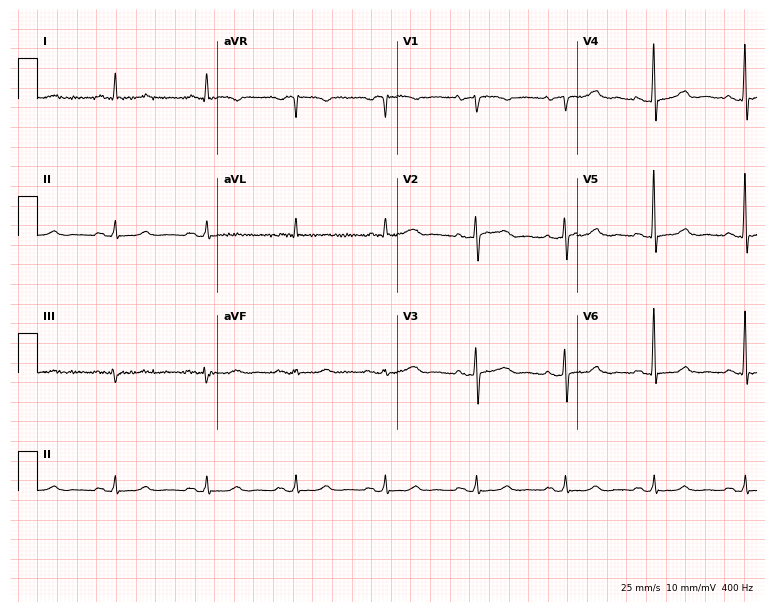
ECG (7.3-second recording at 400 Hz) — a 64-year-old woman. Screened for six findings — first-degree AV block, right bundle branch block (RBBB), left bundle branch block (LBBB), sinus bradycardia, atrial fibrillation (AF), sinus tachycardia — none is recorded.